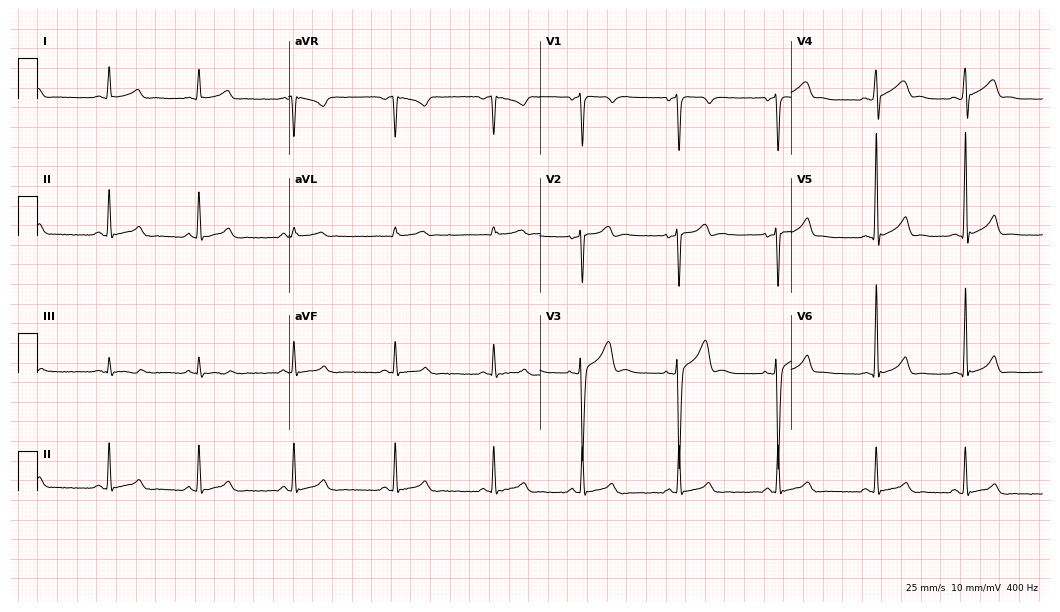
ECG — a 30-year-old male patient. Labelled as a normal ECG.